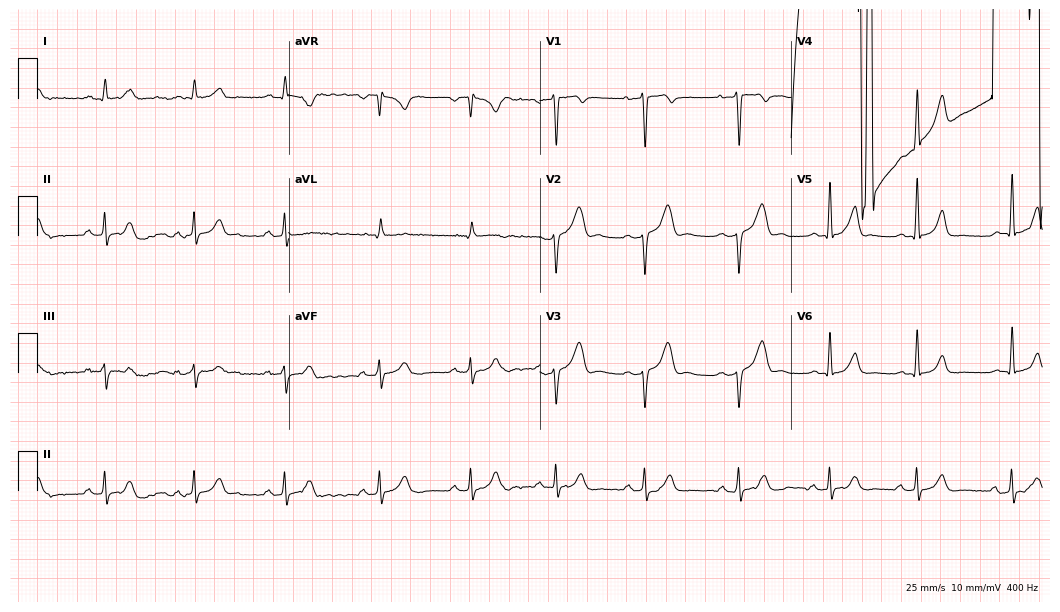
Resting 12-lead electrocardiogram (10.2-second recording at 400 Hz). Patient: a 25-year-old male. None of these six findings is recorded: first-degree AV block, right bundle branch block, left bundle branch block, sinus bradycardia, atrial fibrillation, sinus tachycardia.